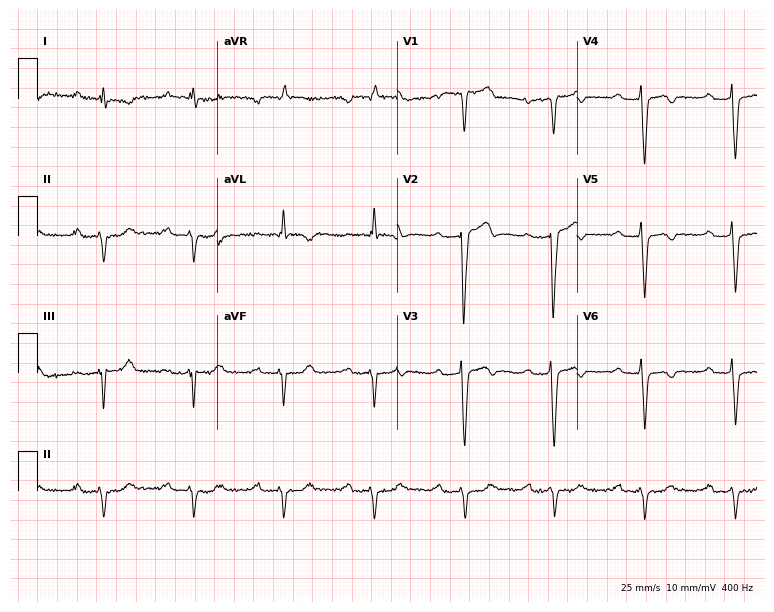
Electrocardiogram (7.3-second recording at 400 Hz), a 66-year-old male. Interpretation includes first-degree AV block.